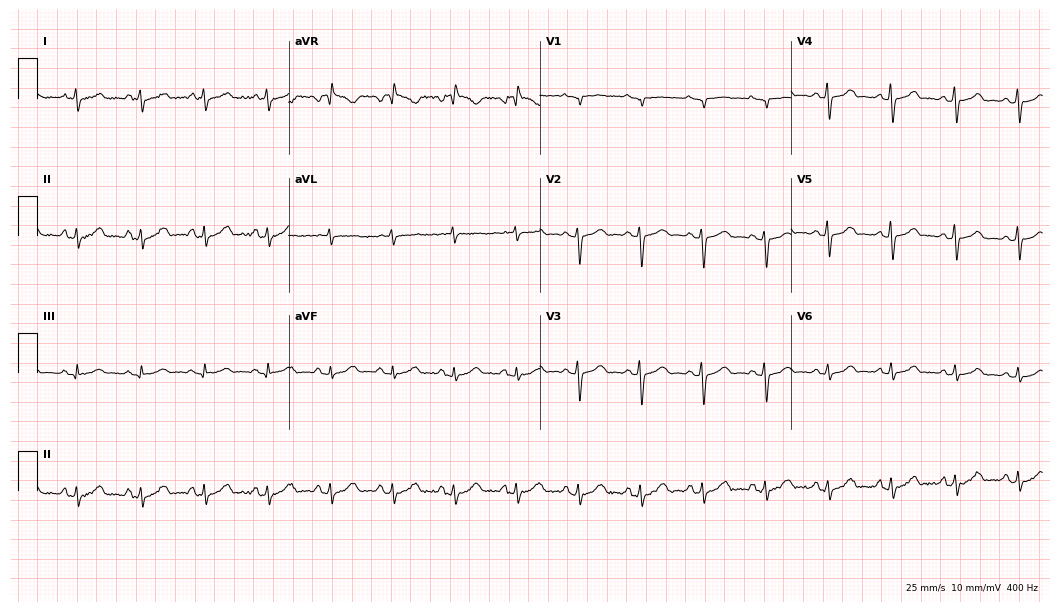
Resting 12-lead electrocardiogram. Patient: a 55-year-old female. None of these six findings is recorded: first-degree AV block, right bundle branch block, left bundle branch block, sinus bradycardia, atrial fibrillation, sinus tachycardia. Findings outside these six are not listed.